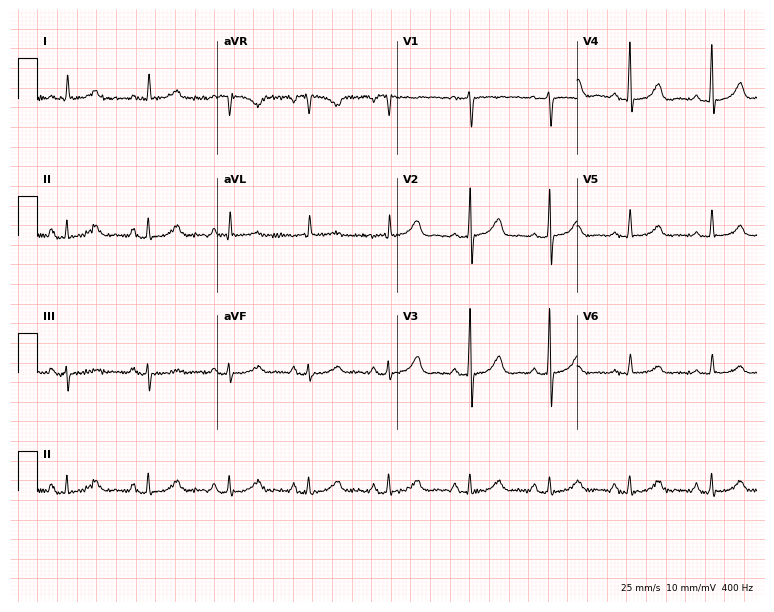
12-lead ECG (7.3-second recording at 400 Hz) from a 69-year-old female. Labelled as a normal ECG.